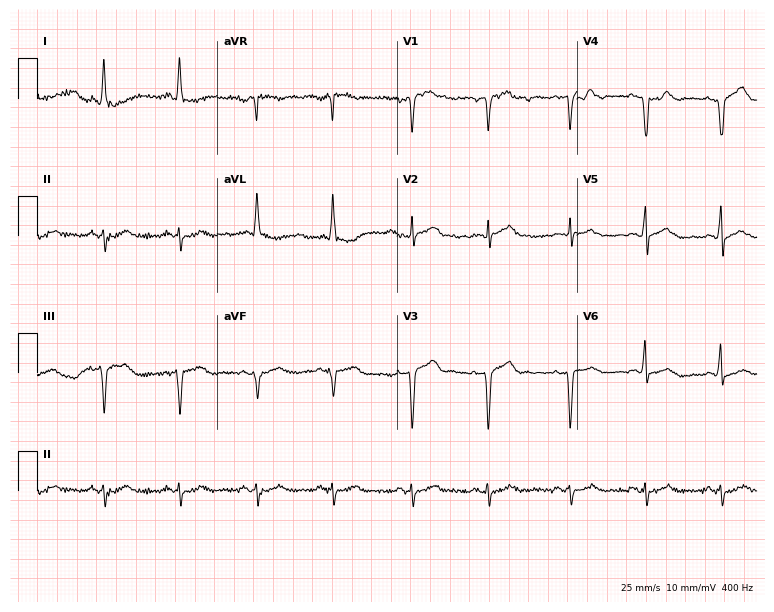
Standard 12-lead ECG recorded from a 69-year-old male patient. None of these six findings is recorded: first-degree AV block, right bundle branch block (RBBB), left bundle branch block (LBBB), sinus bradycardia, atrial fibrillation (AF), sinus tachycardia.